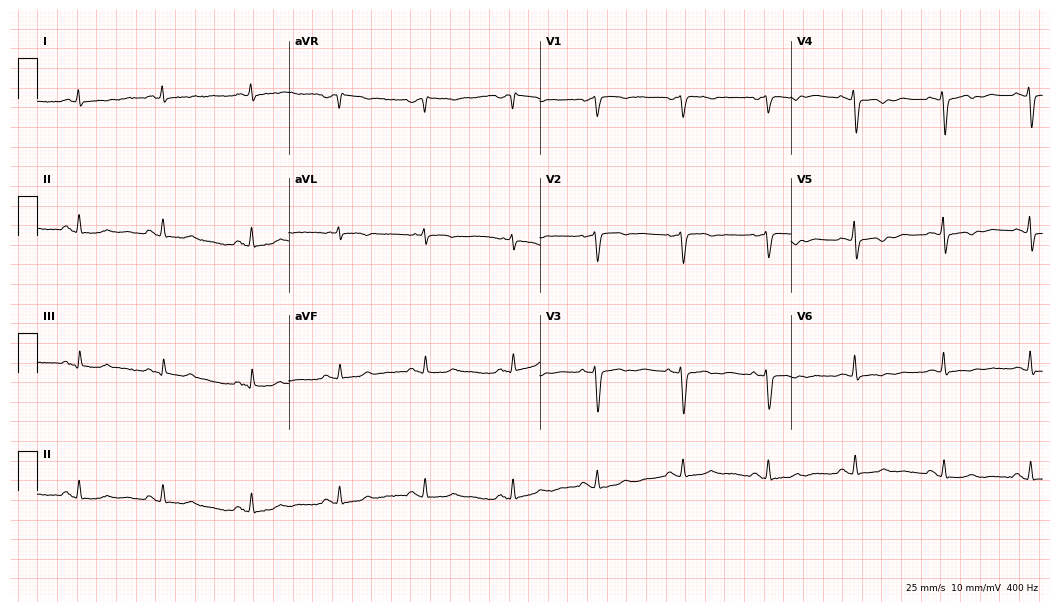
12-lead ECG from a 64-year-old female patient. Screened for six findings — first-degree AV block, right bundle branch block, left bundle branch block, sinus bradycardia, atrial fibrillation, sinus tachycardia — none is recorded.